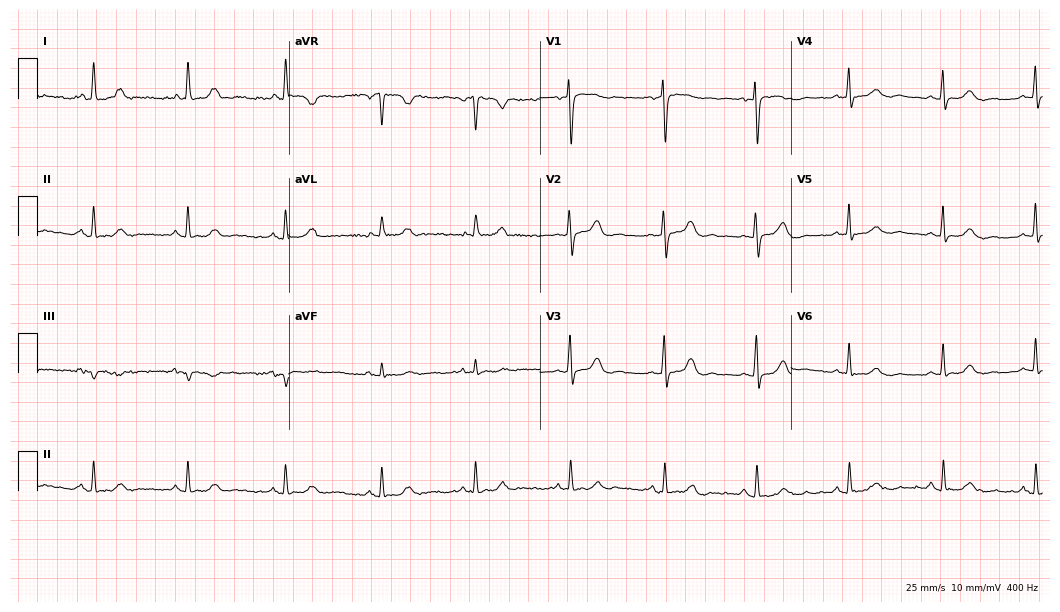
12-lead ECG from a woman, 80 years old (10.2-second recording at 400 Hz). Recorded interpretation: within normal limits.